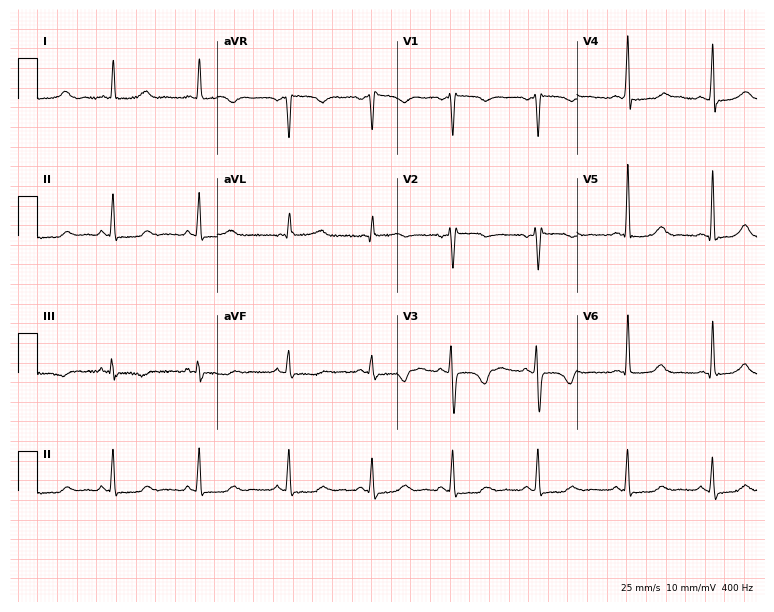
12-lead ECG from a 29-year-old female patient. Recorded interpretation: within normal limits.